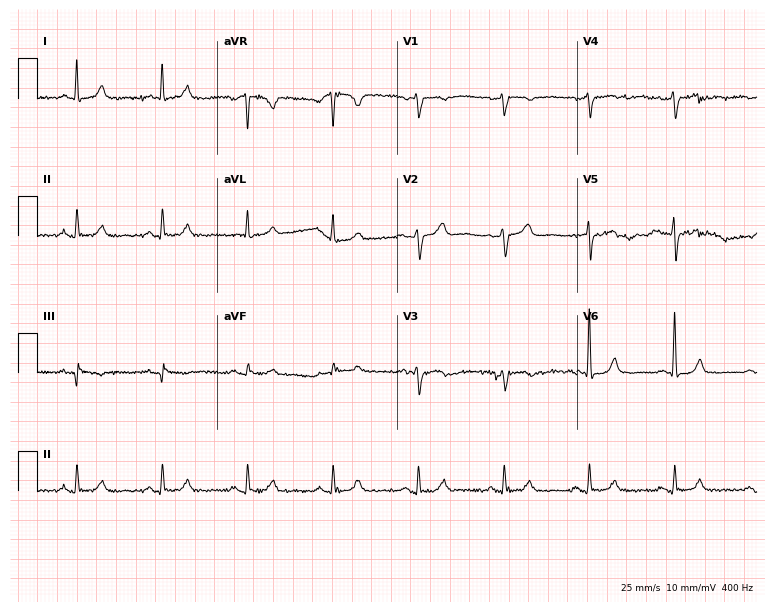
Resting 12-lead electrocardiogram (7.3-second recording at 400 Hz). Patient: a man, 73 years old. None of these six findings is recorded: first-degree AV block, right bundle branch block (RBBB), left bundle branch block (LBBB), sinus bradycardia, atrial fibrillation (AF), sinus tachycardia. Findings outside these six are not listed.